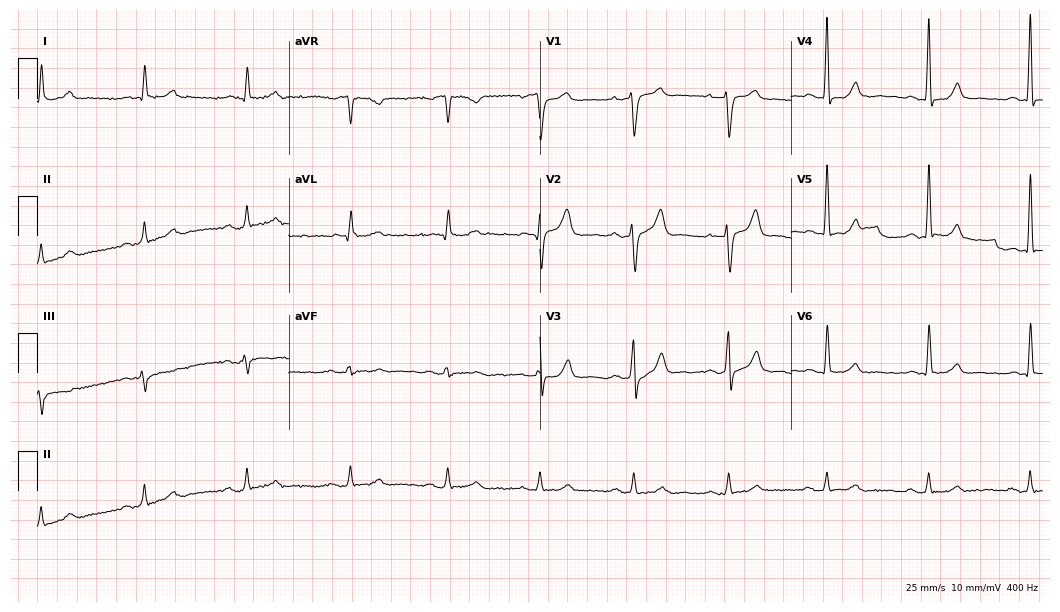
12-lead ECG (10.2-second recording at 400 Hz) from a male patient, 77 years old. Labelled as a normal ECG.